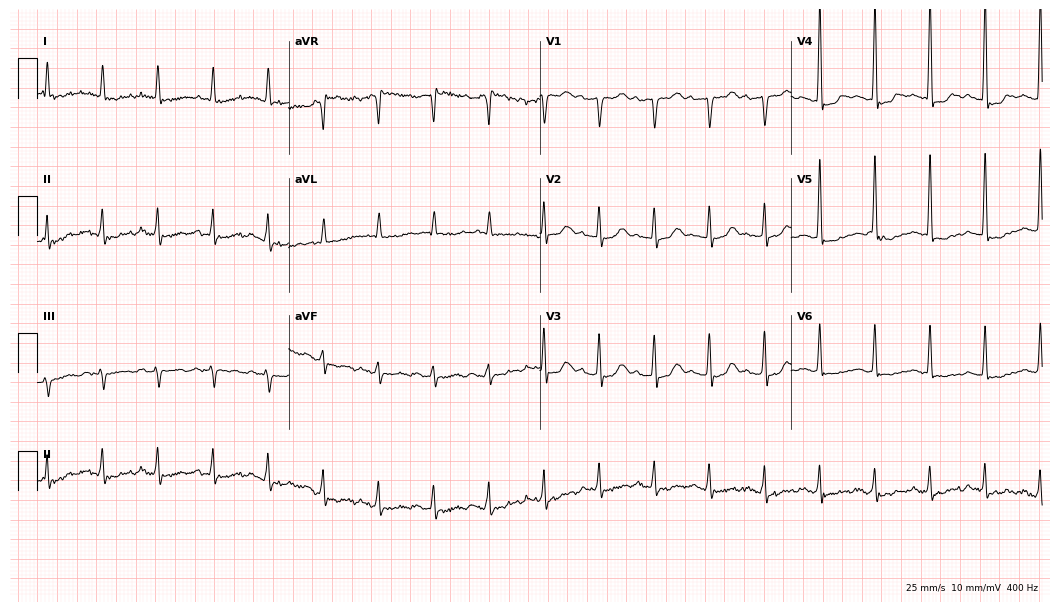
12-lead ECG from an 83-year-old woman. Screened for six findings — first-degree AV block, right bundle branch block, left bundle branch block, sinus bradycardia, atrial fibrillation, sinus tachycardia — none is recorded.